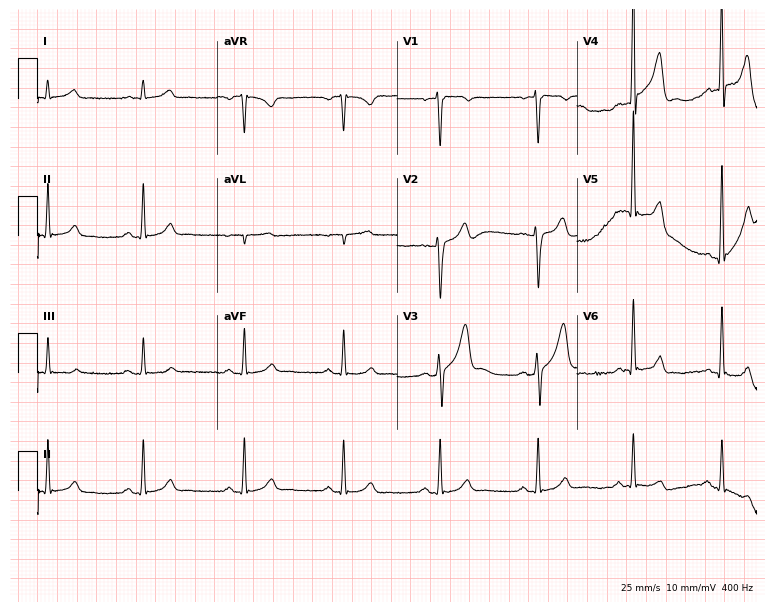
Standard 12-lead ECG recorded from a man, 42 years old (7.3-second recording at 400 Hz). Read as a normal ECG.